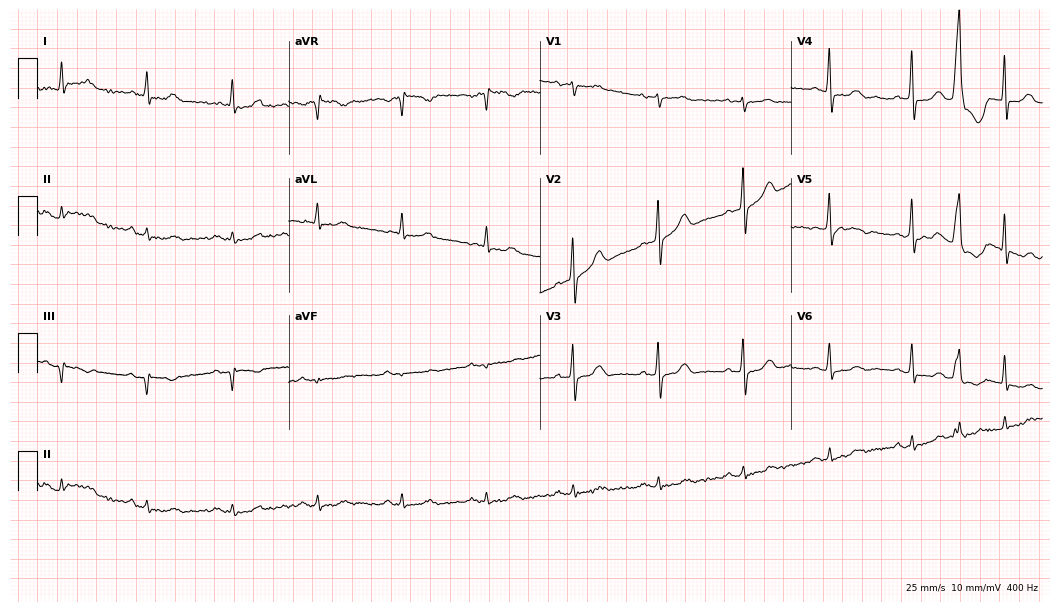
Electrocardiogram (10.2-second recording at 400 Hz), a woman, 83 years old. Of the six screened findings (first-degree AV block, right bundle branch block (RBBB), left bundle branch block (LBBB), sinus bradycardia, atrial fibrillation (AF), sinus tachycardia), none is recorded.